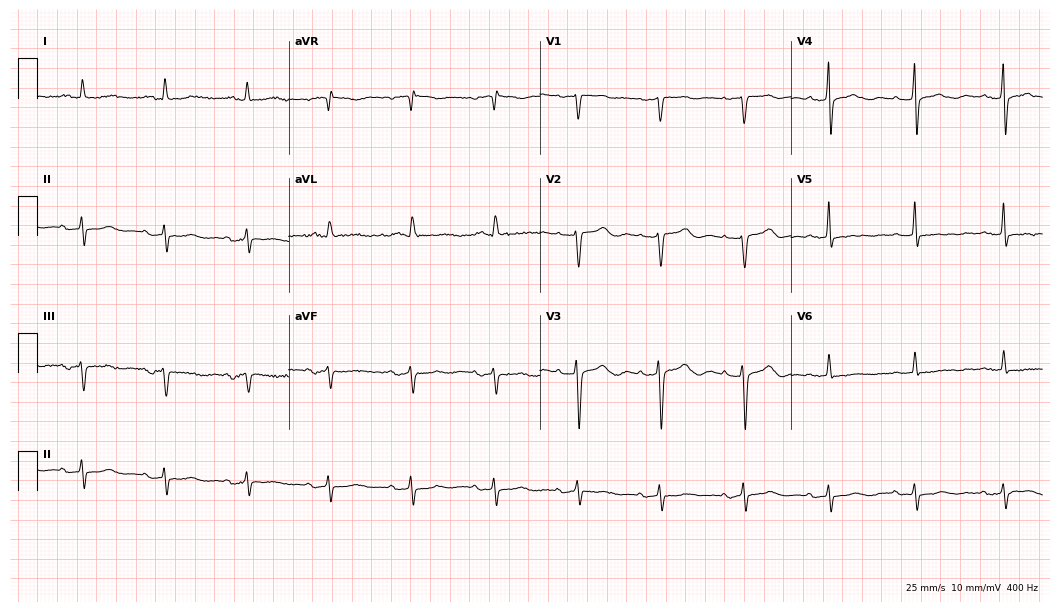
12-lead ECG from a male, 85 years old (10.2-second recording at 400 Hz). No first-degree AV block, right bundle branch block (RBBB), left bundle branch block (LBBB), sinus bradycardia, atrial fibrillation (AF) or sinus tachycardia recorded for this tracing. Findings outside these six are not listed.